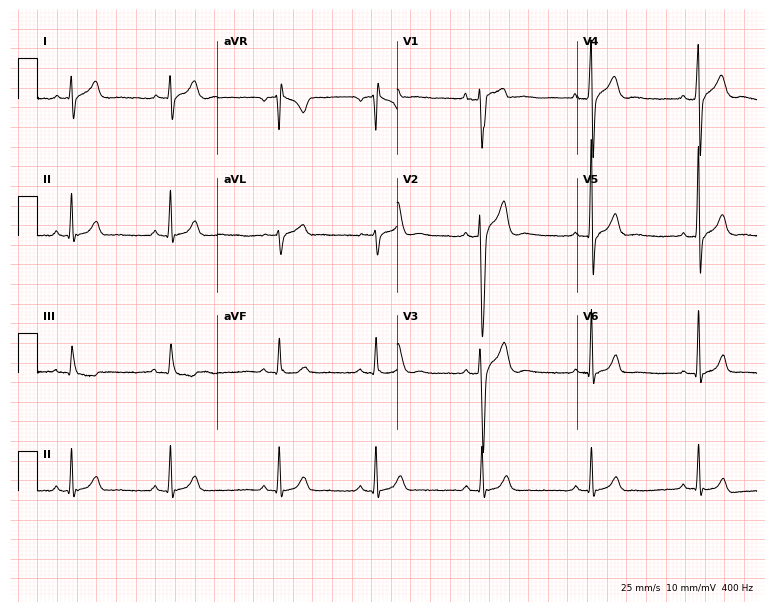
Standard 12-lead ECG recorded from a 25-year-old male (7.3-second recording at 400 Hz). Read as a normal ECG.